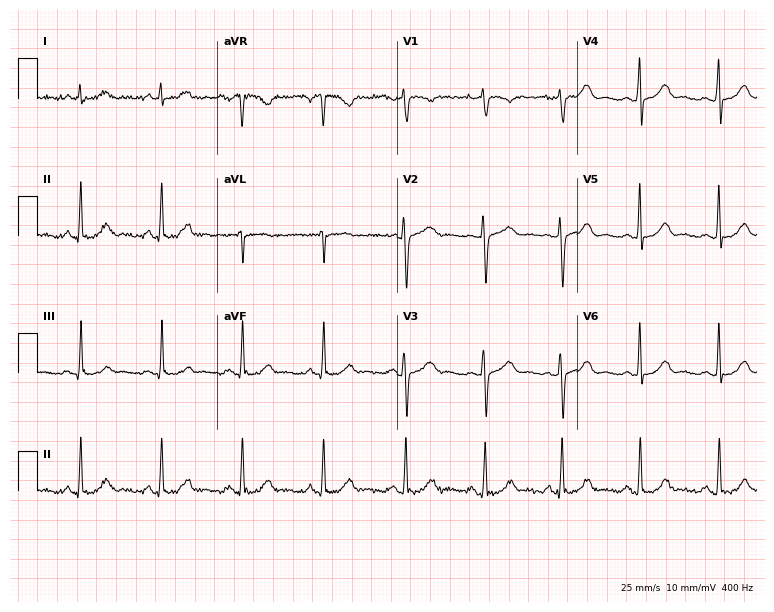
ECG (7.3-second recording at 400 Hz) — a female, 37 years old. Screened for six findings — first-degree AV block, right bundle branch block (RBBB), left bundle branch block (LBBB), sinus bradycardia, atrial fibrillation (AF), sinus tachycardia — none is recorded.